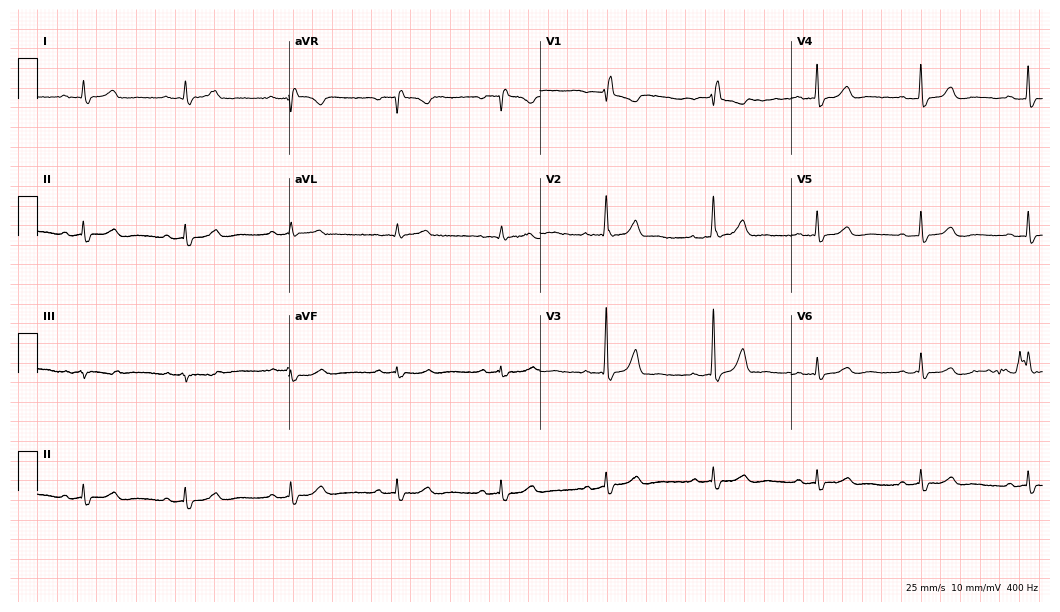
ECG — a 56-year-old woman. Findings include right bundle branch block.